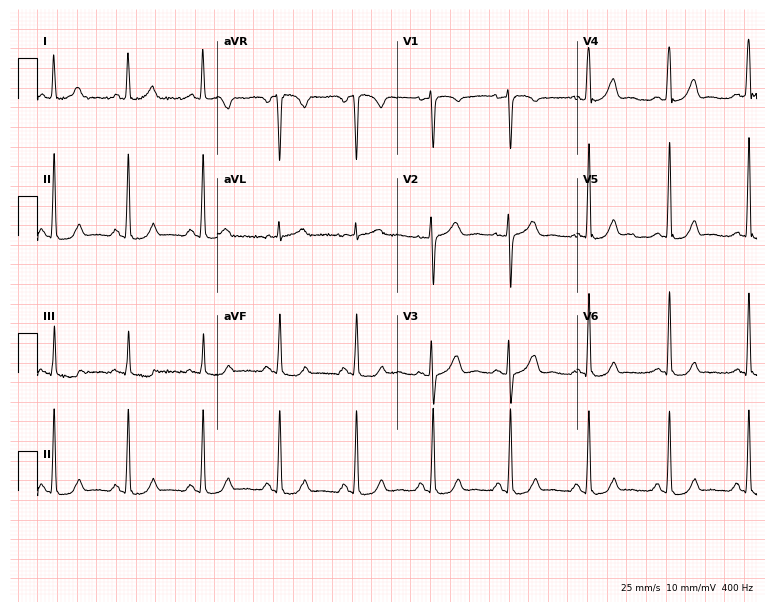
Standard 12-lead ECG recorded from a female patient, 40 years old. Read as a normal ECG.